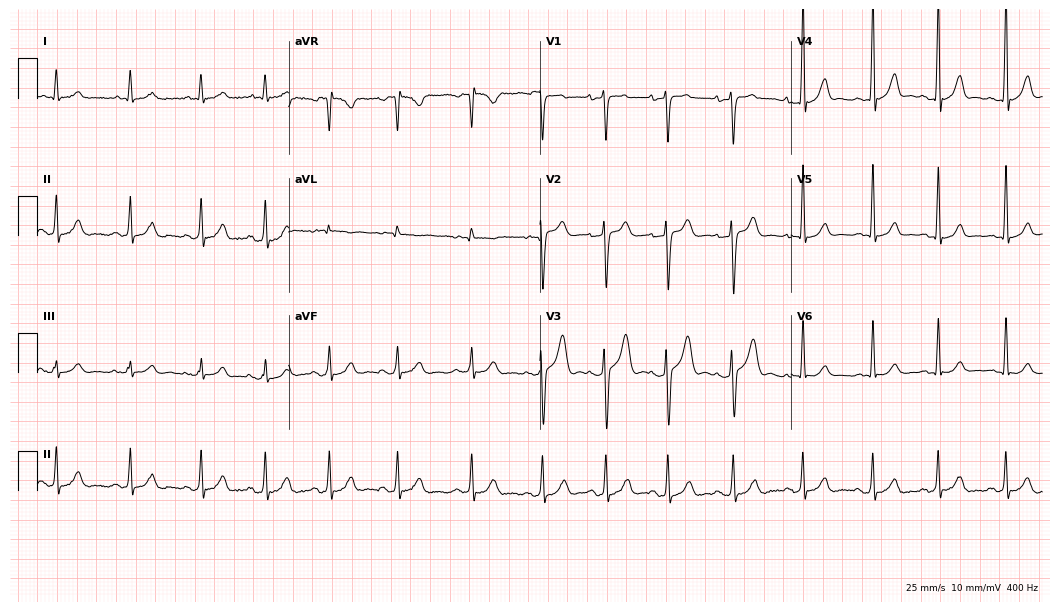
12-lead ECG from a 19-year-old male patient. Recorded interpretation: within normal limits.